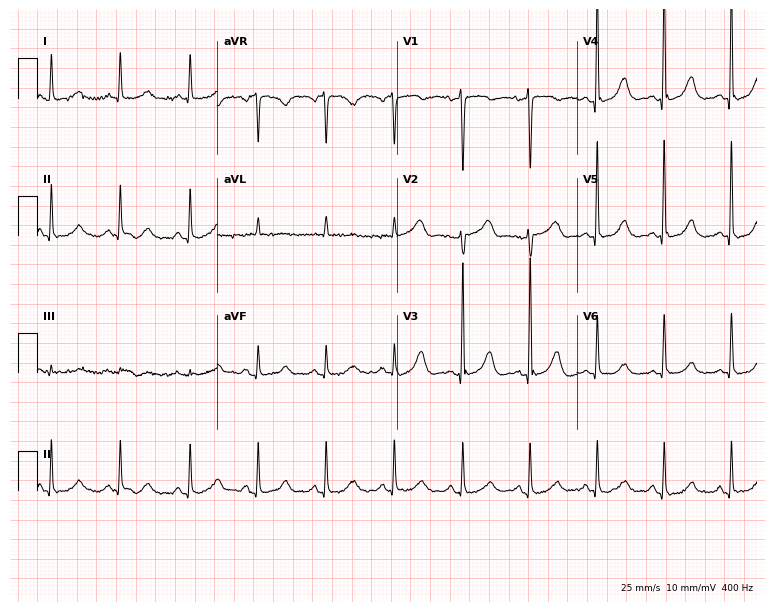
12-lead ECG from a woman, 74 years old. Recorded interpretation: within normal limits.